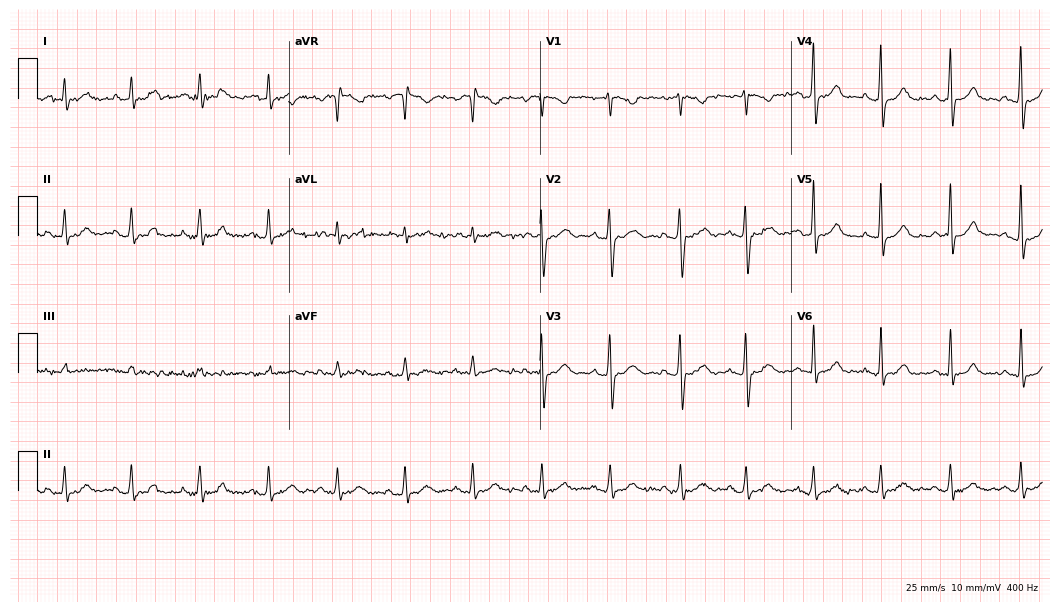
Resting 12-lead electrocardiogram (10.2-second recording at 400 Hz). Patient: a 40-year-old woman. Read as a normal ECG.